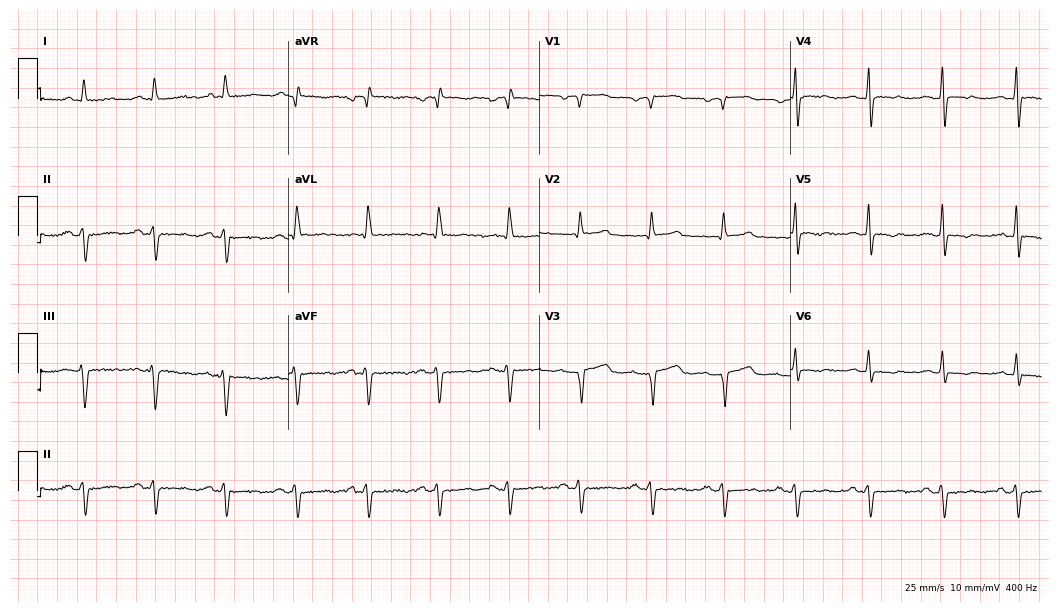
Standard 12-lead ECG recorded from a 67-year-old male patient. None of these six findings is recorded: first-degree AV block, right bundle branch block, left bundle branch block, sinus bradycardia, atrial fibrillation, sinus tachycardia. Findings outside these six are not listed.